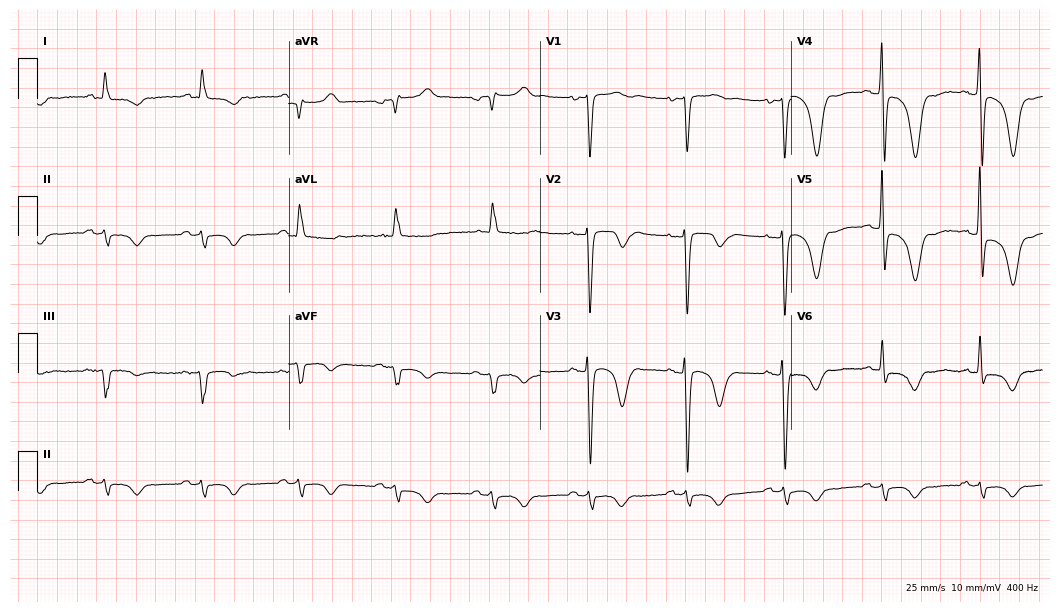
12-lead ECG from a 73-year-old male patient. No first-degree AV block, right bundle branch block, left bundle branch block, sinus bradycardia, atrial fibrillation or sinus tachycardia recorded for this tracing.